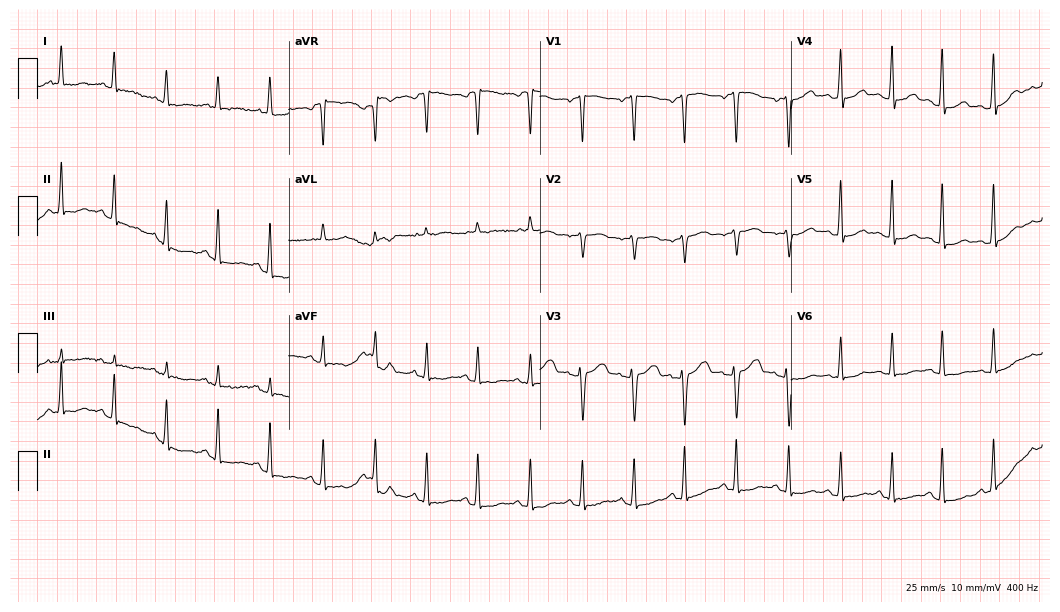
12-lead ECG (10.2-second recording at 400 Hz) from a 30-year-old female patient. Findings include sinus tachycardia (a sinus rate of 100 beats per minute or more).